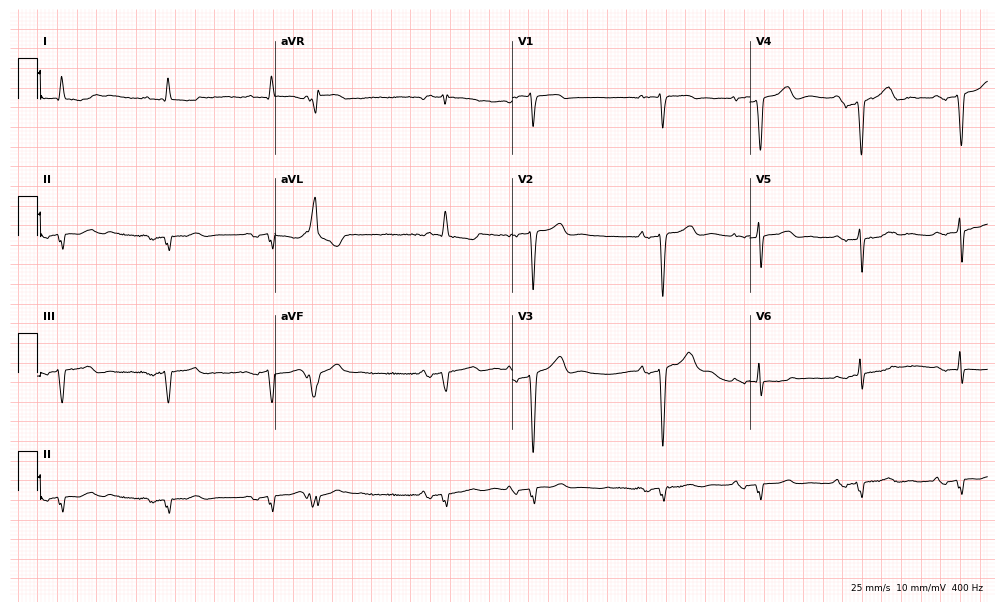
12-lead ECG from an 81-year-old man (9.7-second recording at 400 Hz). Shows atrial fibrillation.